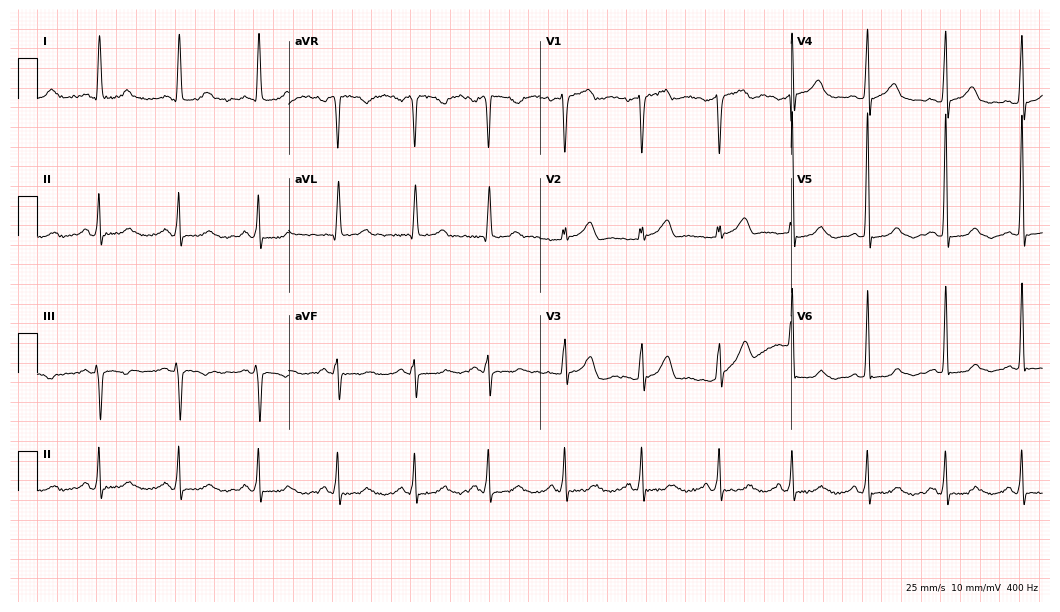
12-lead ECG from a woman, 57 years old. Labelled as a normal ECG.